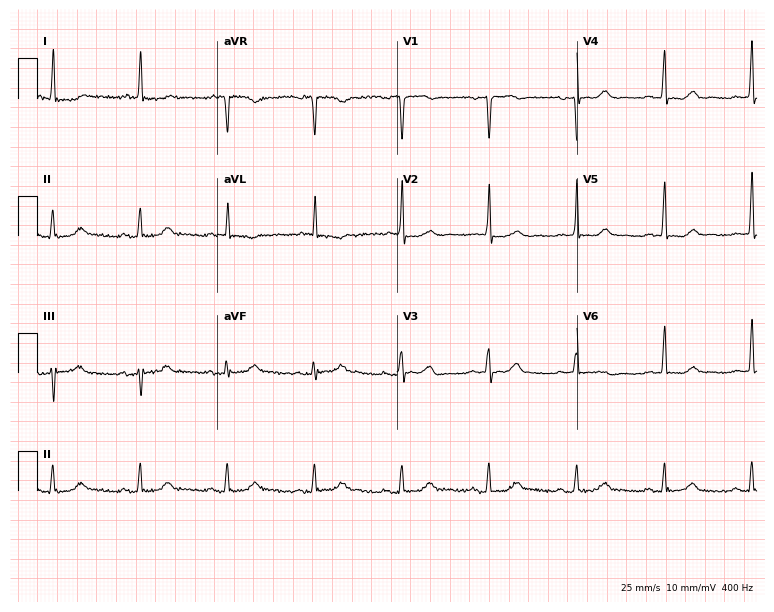
Resting 12-lead electrocardiogram. Patient: a male, 83 years old. Read as a normal ECG.